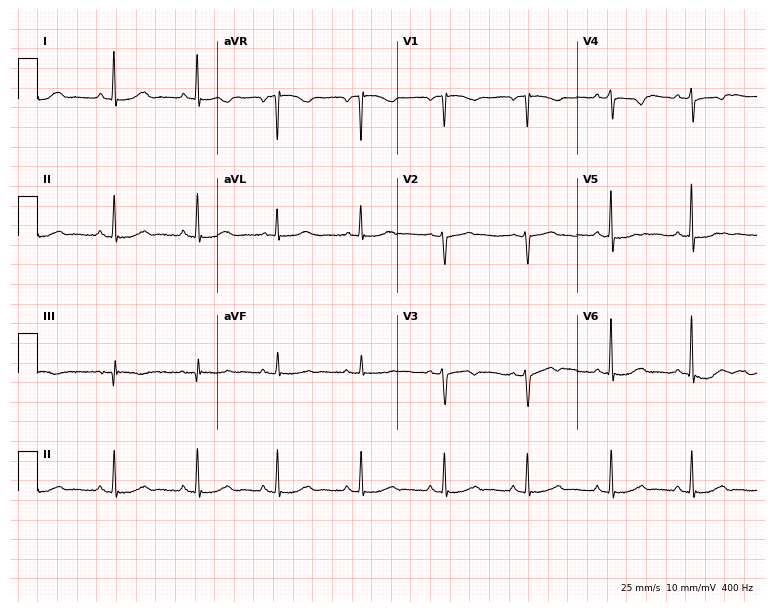
Standard 12-lead ECG recorded from a 62-year-old woman (7.3-second recording at 400 Hz). None of these six findings is recorded: first-degree AV block, right bundle branch block (RBBB), left bundle branch block (LBBB), sinus bradycardia, atrial fibrillation (AF), sinus tachycardia.